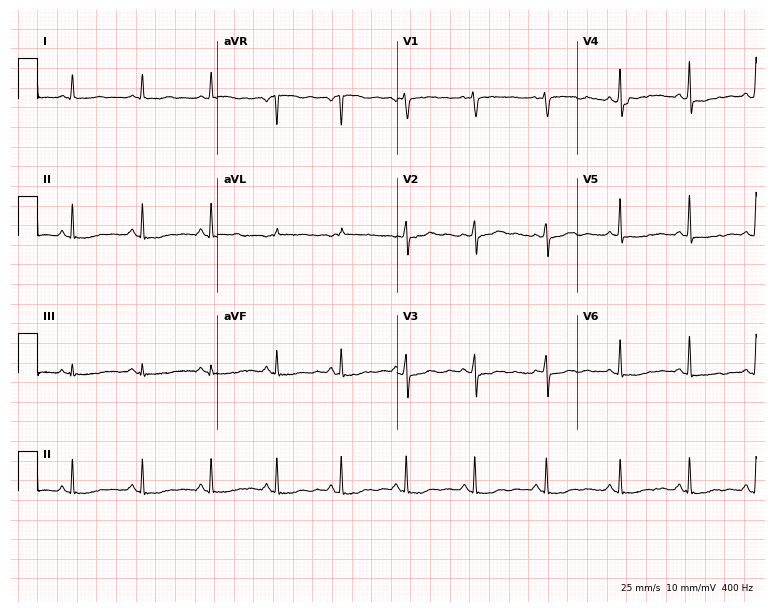
12-lead ECG (7.3-second recording at 400 Hz) from a woman, 57 years old. Screened for six findings — first-degree AV block, right bundle branch block, left bundle branch block, sinus bradycardia, atrial fibrillation, sinus tachycardia — none is recorded. Findings outside these six are not listed.